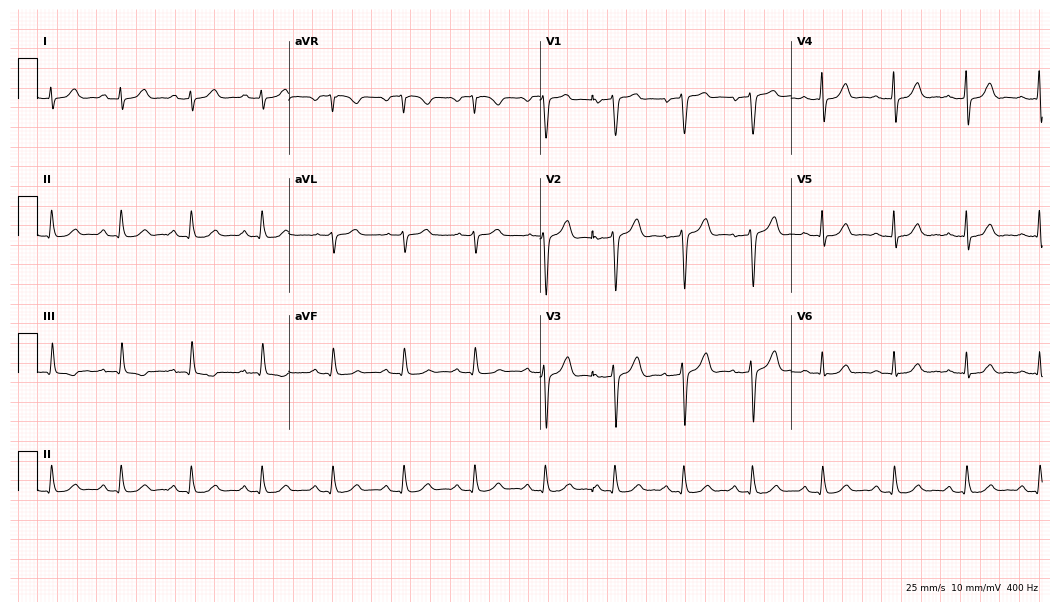
Electrocardiogram (10.2-second recording at 400 Hz), a male, 78 years old. Of the six screened findings (first-degree AV block, right bundle branch block (RBBB), left bundle branch block (LBBB), sinus bradycardia, atrial fibrillation (AF), sinus tachycardia), none is recorded.